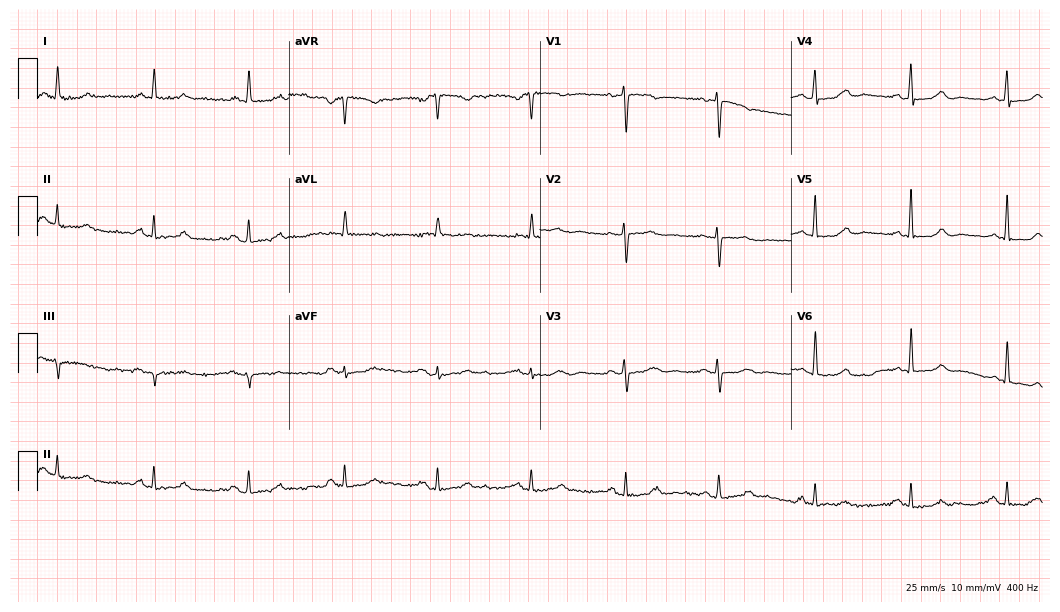
12-lead ECG (10.2-second recording at 400 Hz) from a female patient, 63 years old. Screened for six findings — first-degree AV block, right bundle branch block (RBBB), left bundle branch block (LBBB), sinus bradycardia, atrial fibrillation (AF), sinus tachycardia — none is recorded.